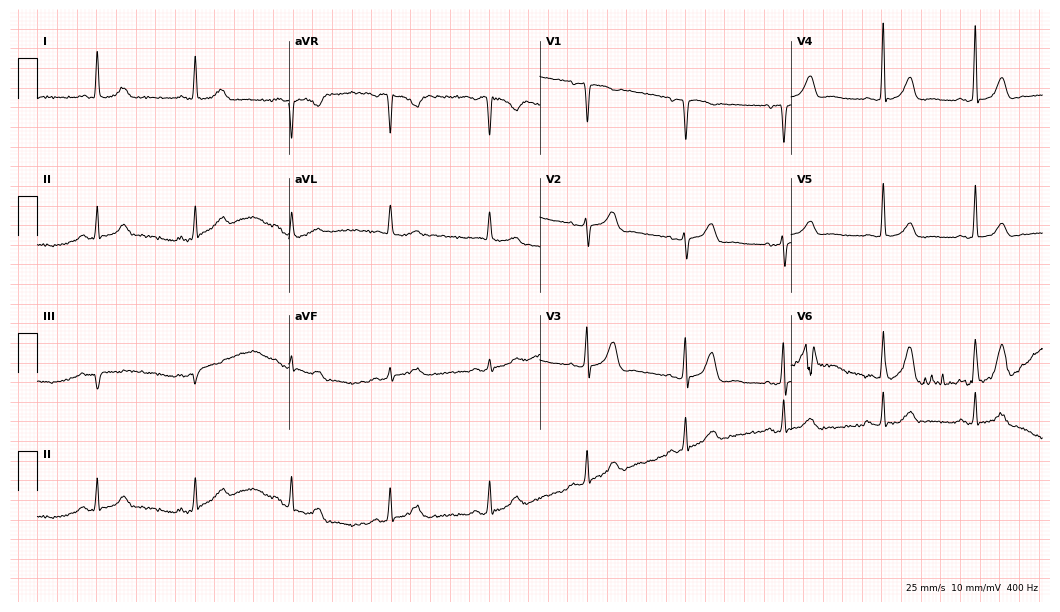
ECG (10.2-second recording at 400 Hz) — a female patient, 65 years old. Labelled as a normal ECG.